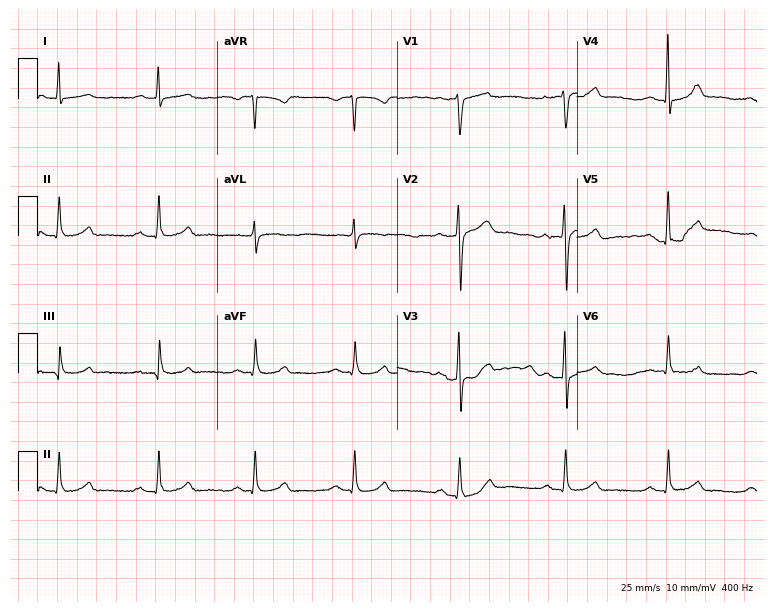
Resting 12-lead electrocardiogram (7.3-second recording at 400 Hz). Patient: a man, 52 years old. None of these six findings is recorded: first-degree AV block, right bundle branch block, left bundle branch block, sinus bradycardia, atrial fibrillation, sinus tachycardia.